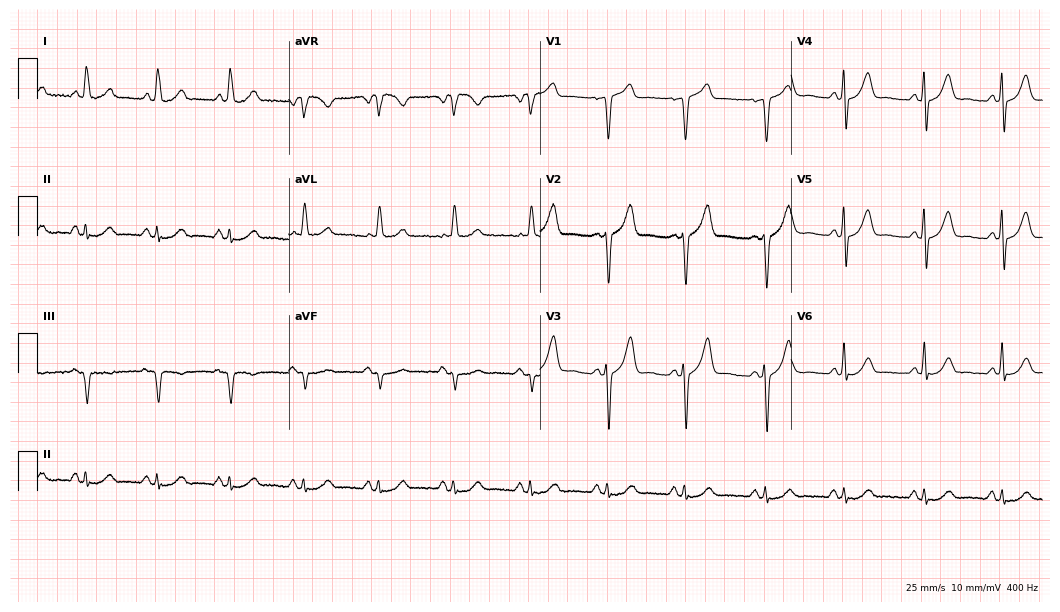
Resting 12-lead electrocardiogram. Patient: a female, 68 years old. Read as a normal ECG.